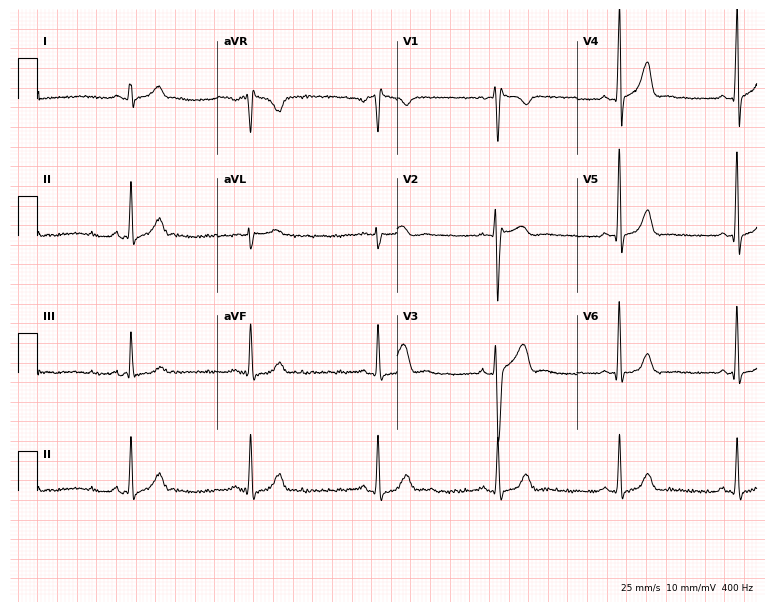
Electrocardiogram, a man, 29 years old. Of the six screened findings (first-degree AV block, right bundle branch block, left bundle branch block, sinus bradycardia, atrial fibrillation, sinus tachycardia), none is recorded.